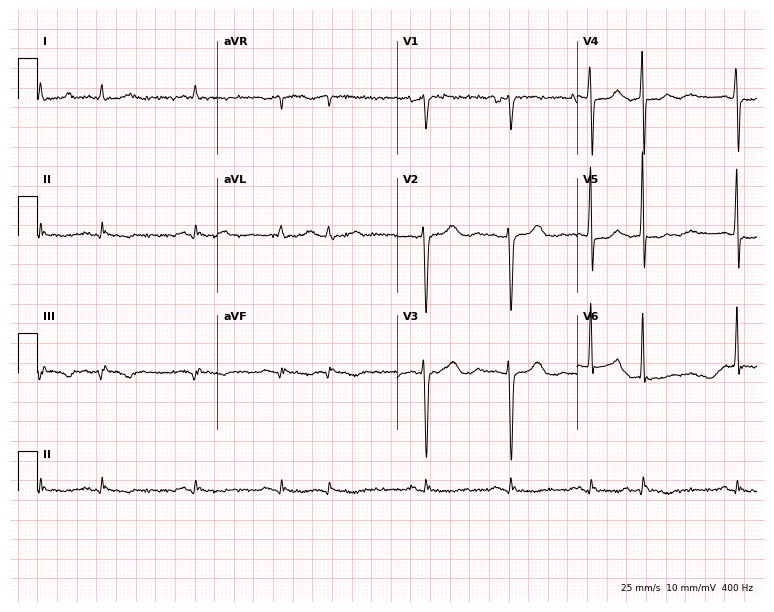
Resting 12-lead electrocardiogram (7.3-second recording at 400 Hz). Patient: an 84-year-old man. None of these six findings is recorded: first-degree AV block, right bundle branch block, left bundle branch block, sinus bradycardia, atrial fibrillation, sinus tachycardia. Other findings, if any, are not listed.